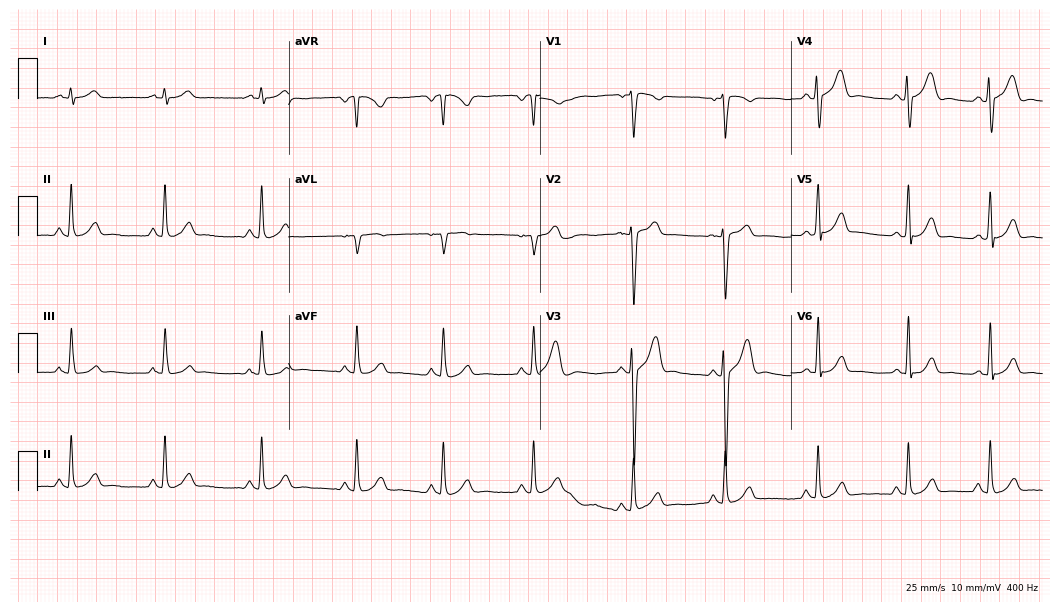
Standard 12-lead ECG recorded from a male, 19 years old (10.2-second recording at 400 Hz). Read as a normal ECG.